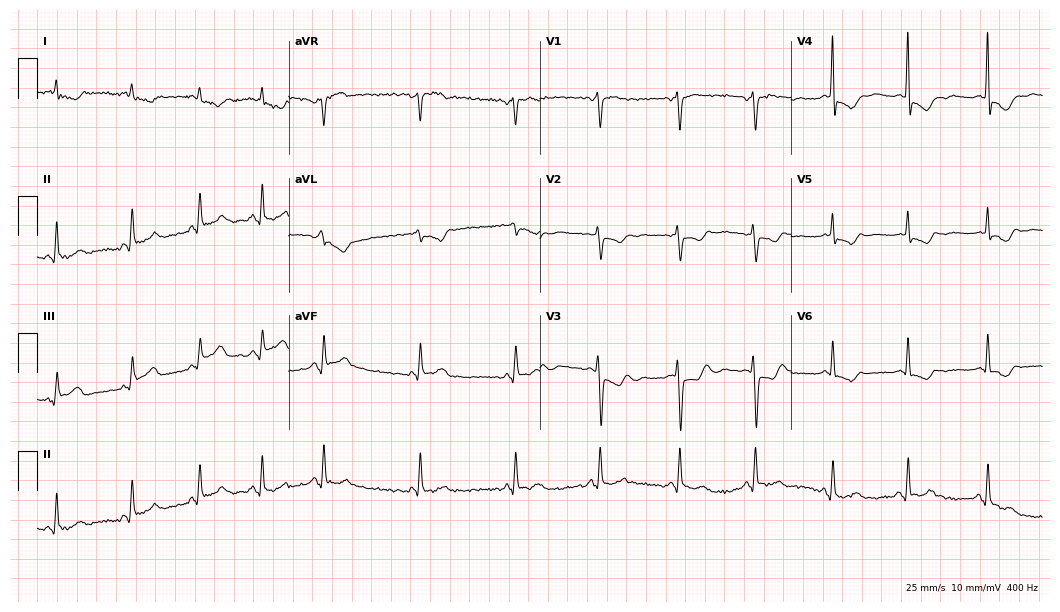
Electrocardiogram, a woman, 41 years old. Of the six screened findings (first-degree AV block, right bundle branch block, left bundle branch block, sinus bradycardia, atrial fibrillation, sinus tachycardia), none is recorded.